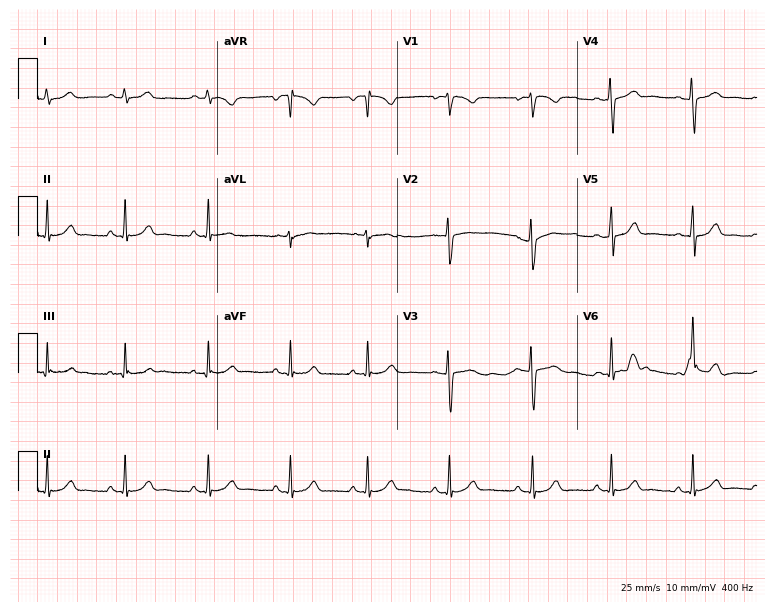
Resting 12-lead electrocardiogram (7.3-second recording at 400 Hz). Patient: a female, 24 years old. Read as a normal ECG.